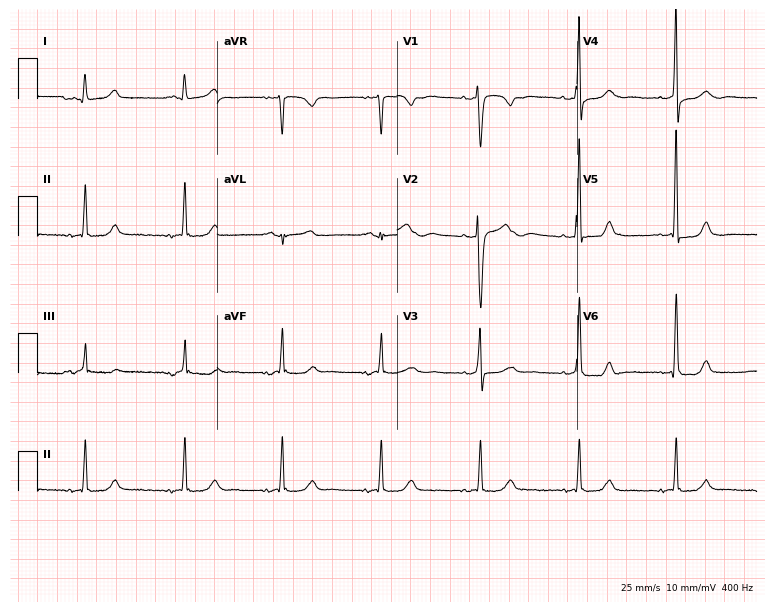
Standard 12-lead ECG recorded from a 42-year-old woman (7.3-second recording at 400 Hz). None of these six findings is recorded: first-degree AV block, right bundle branch block, left bundle branch block, sinus bradycardia, atrial fibrillation, sinus tachycardia.